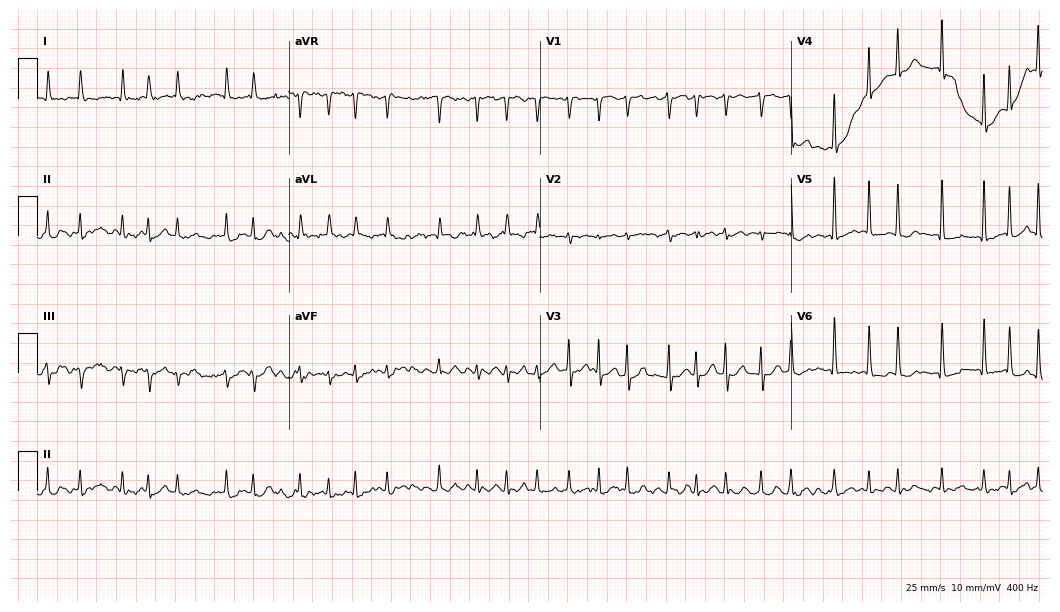
Standard 12-lead ECG recorded from a 73-year-old woman. The tracing shows atrial fibrillation.